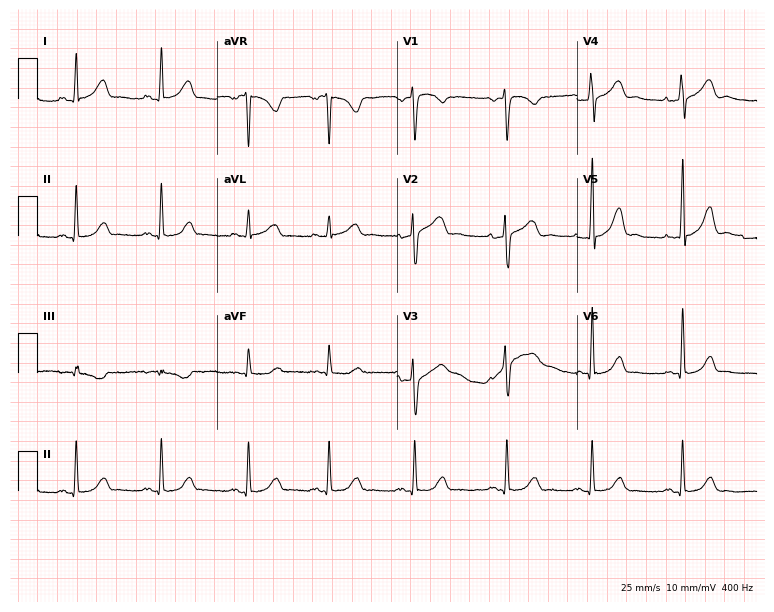
Resting 12-lead electrocardiogram. Patient: a woman, 49 years old. Read as a normal ECG.